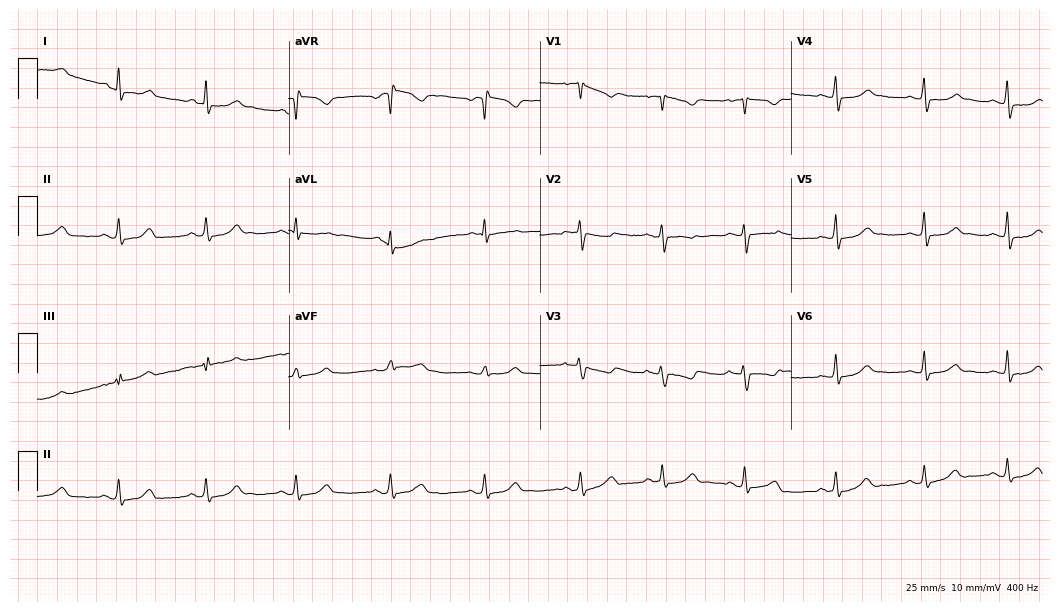
ECG (10.2-second recording at 400 Hz) — a woman, 29 years old. Labelled as a normal ECG.